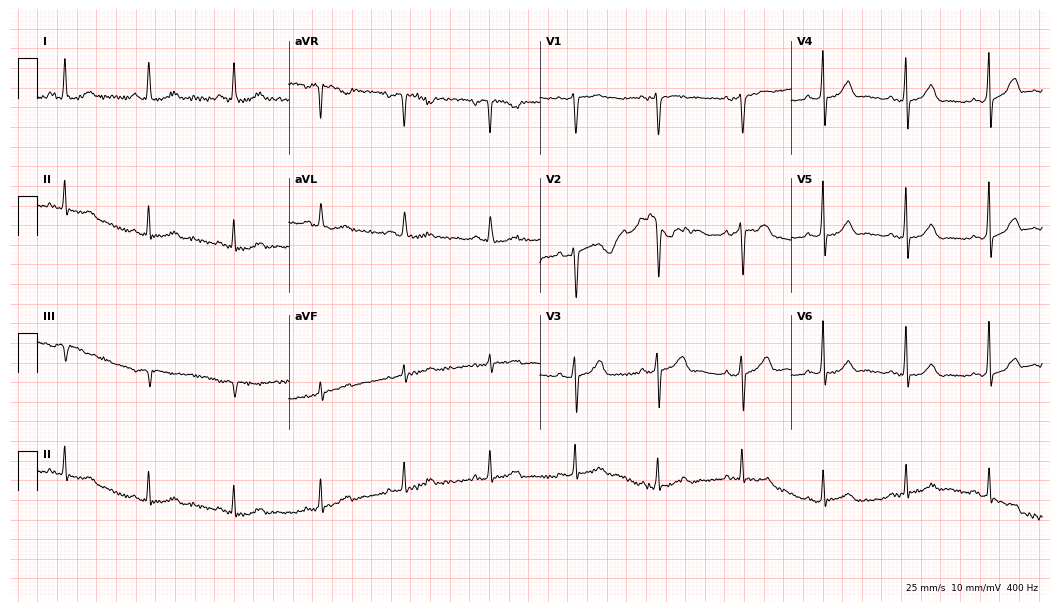
Standard 12-lead ECG recorded from a woman, 51 years old (10.2-second recording at 400 Hz). Read as a normal ECG.